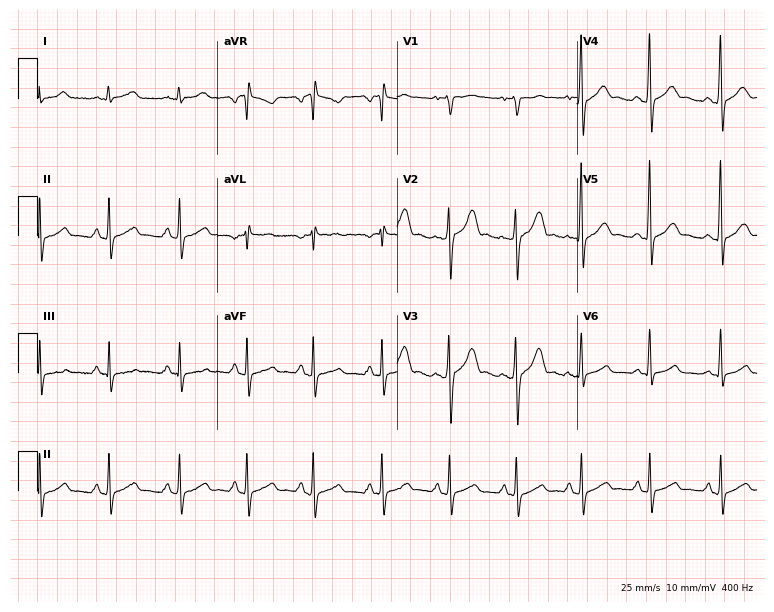
ECG (7.3-second recording at 400 Hz) — a 20-year-old man. Labelled as a normal ECG.